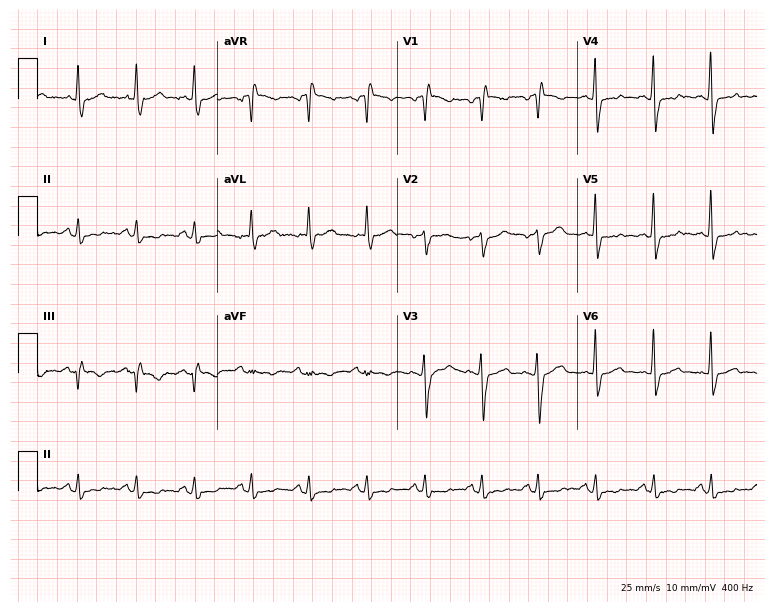
12-lead ECG from a 42-year-old female (7.3-second recording at 400 Hz). No first-degree AV block, right bundle branch block, left bundle branch block, sinus bradycardia, atrial fibrillation or sinus tachycardia recorded for this tracing. Only these six findings were labelled.